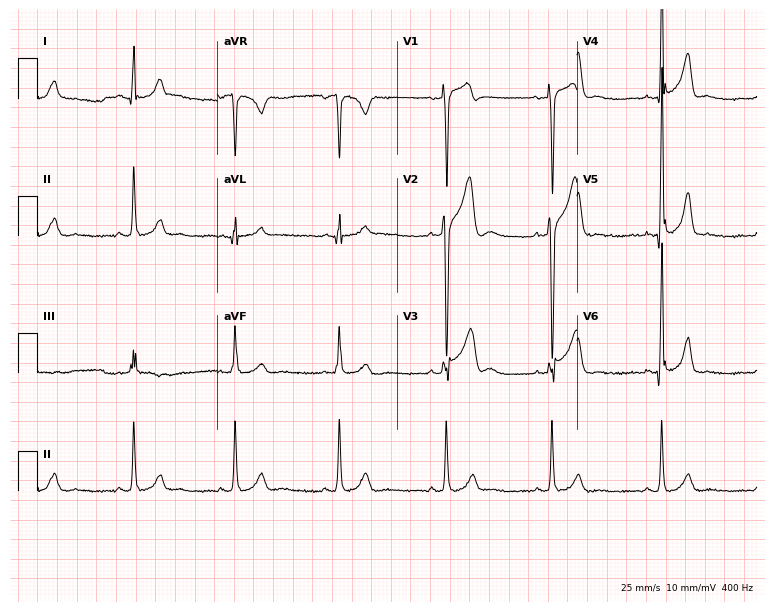
ECG — a 39-year-old male patient. Screened for six findings — first-degree AV block, right bundle branch block, left bundle branch block, sinus bradycardia, atrial fibrillation, sinus tachycardia — none is recorded.